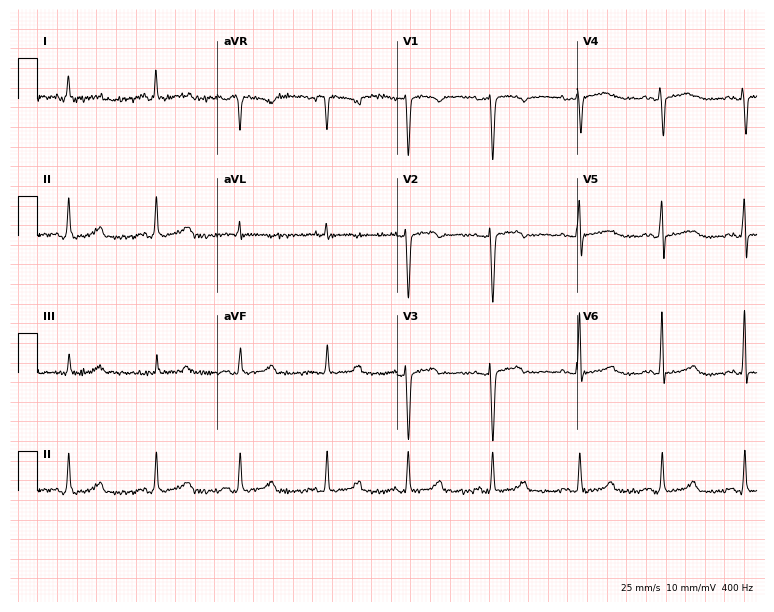
Resting 12-lead electrocardiogram (7.3-second recording at 400 Hz). Patient: a 47-year-old female. Read as a normal ECG.